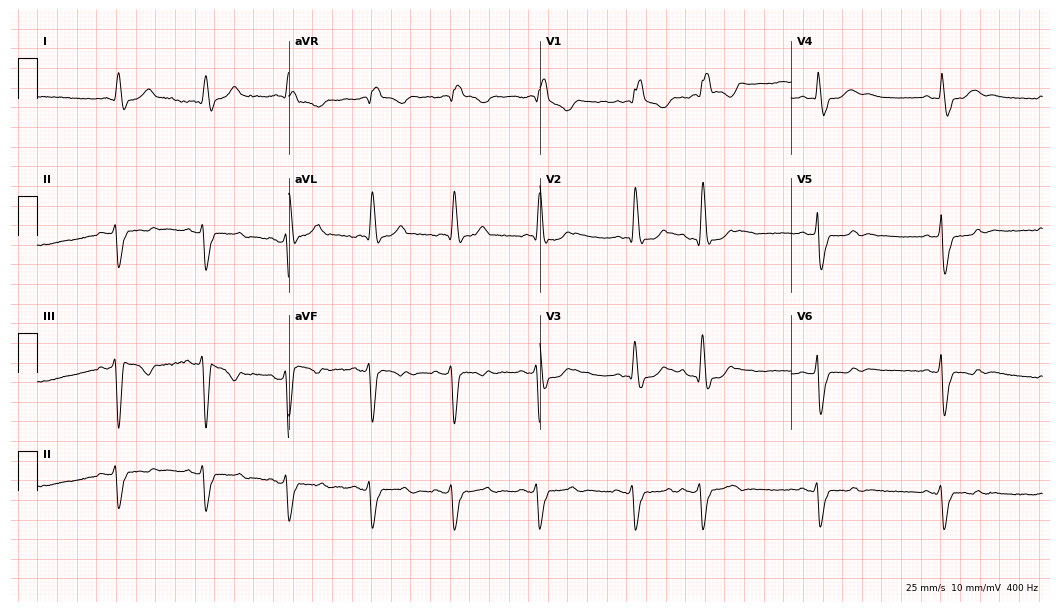
12-lead ECG (10.2-second recording at 400 Hz) from a 78-year-old male. Findings include right bundle branch block (RBBB).